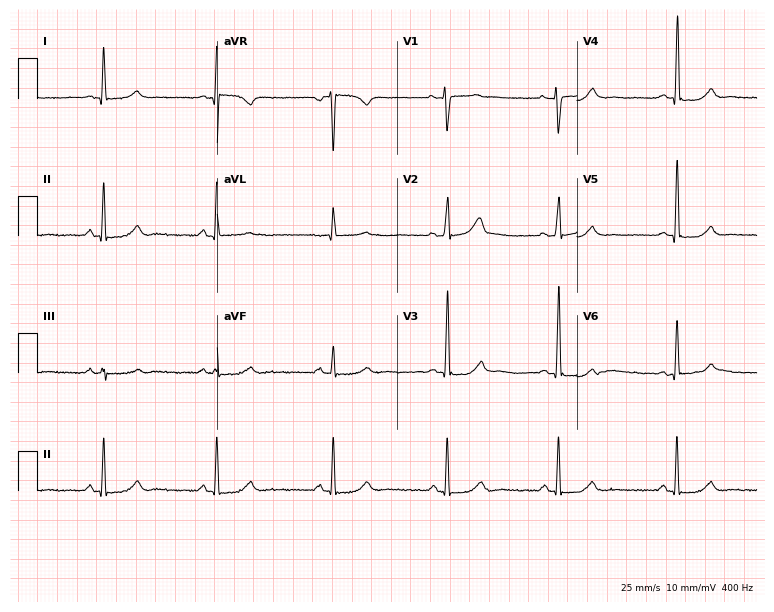
ECG — a 49-year-old female. Screened for six findings — first-degree AV block, right bundle branch block, left bundle branch block, sinus bradycardia, atrial fibrillation, sinus tachycardia — none is recorded.